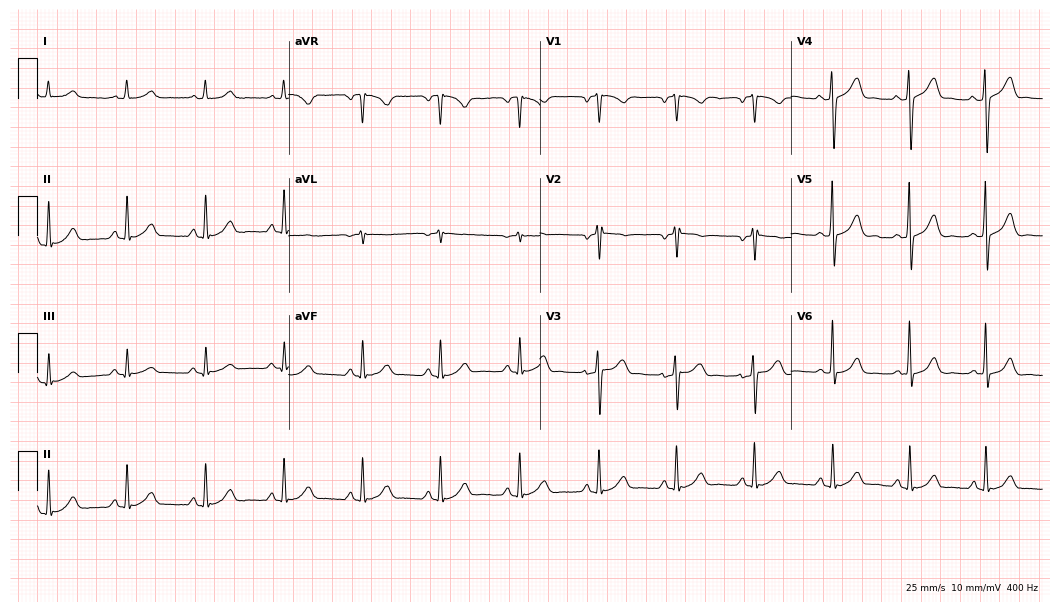
12-lead ECG from a male, 55 years old. Recorded interpretation: within normal limits.